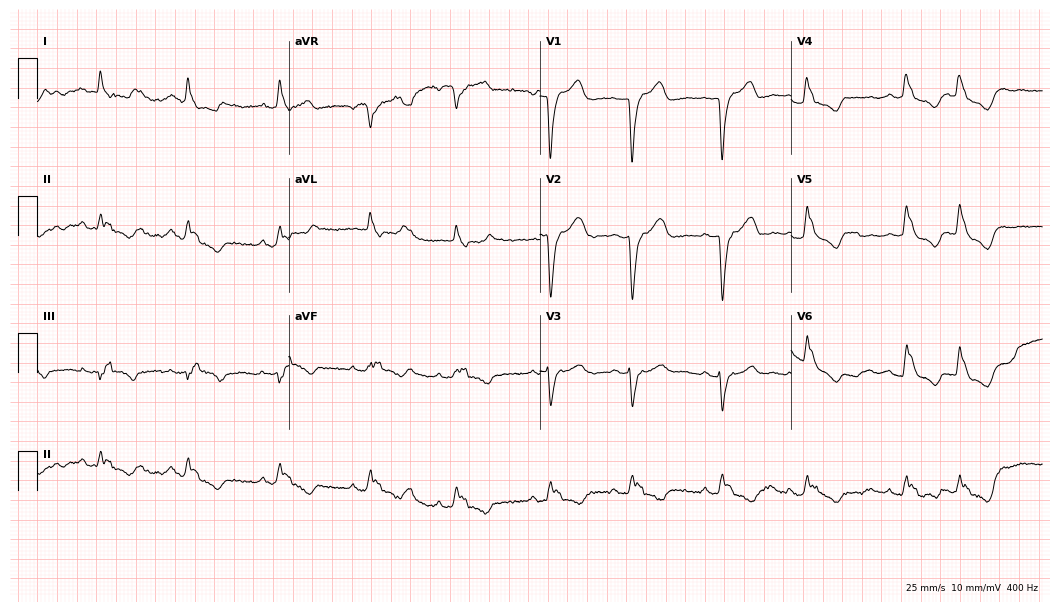
Electrocardiogram, an 87-year-old woman. Interpretation includes left bundle branch block.